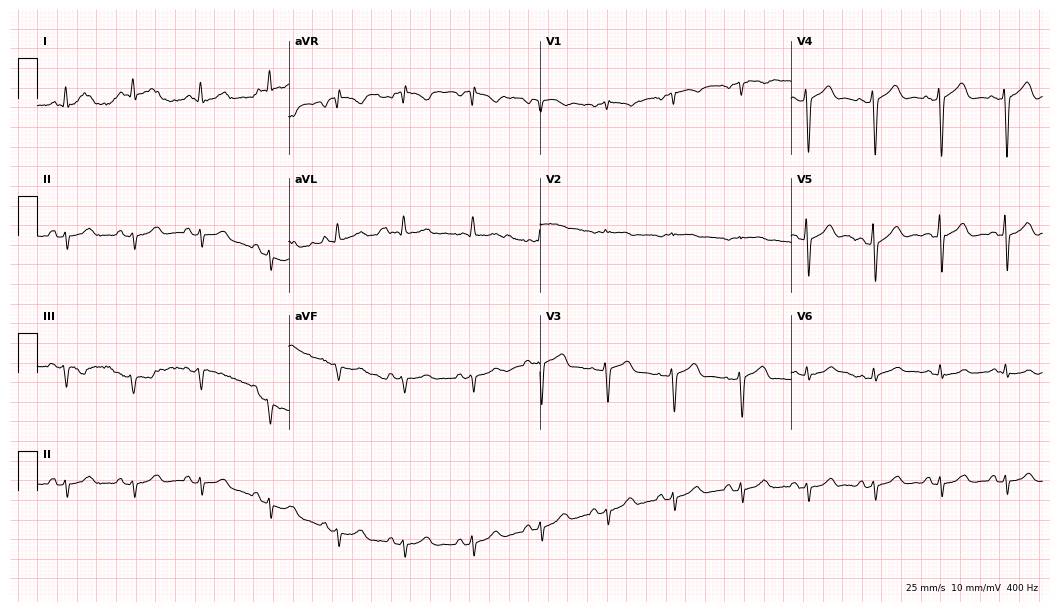
Electrocardiogram, a woman, 66 years old. Of the six screened findings (first-degree AV block, right bundle branch block, left bundle branch block, sinus bradycardia, atrial fibrillation, sinus tachycardia), none is recorded. Findings outside these six are not listed.